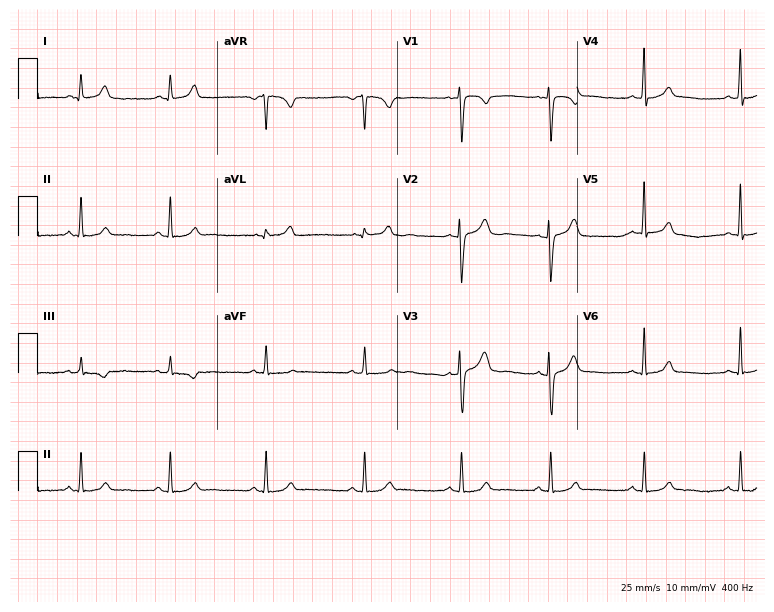
ECG (7.3-second recording at 400 Hz) — a woman, 24 years old. Screened for six findings — first-degree AV block, right bundle branch block (RBBB), left bundle branch block (LBBB), sinus bradycardia, atrial fibrillation (AF), sinus tachycardia — none is recorded. Findings outside these six are not listed.